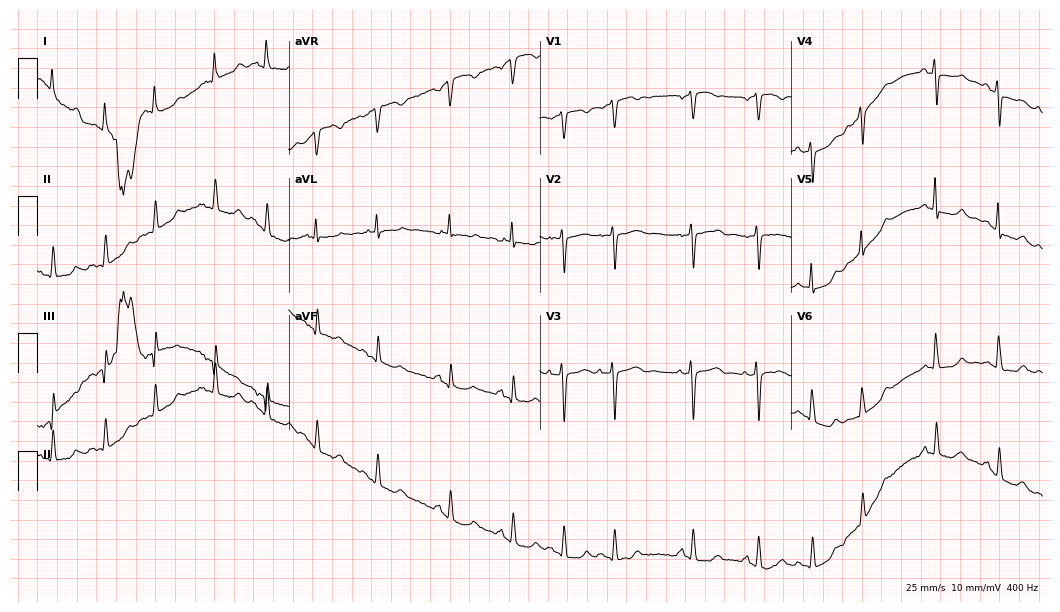
12-lead ECG from a female patient, 72 years old. Screened for six findings — first-degree AV block, right bundle branch block, left bundle branch block, sinus bradycardia, atrial fibrillation, sinus tachycardia — none is recorded.